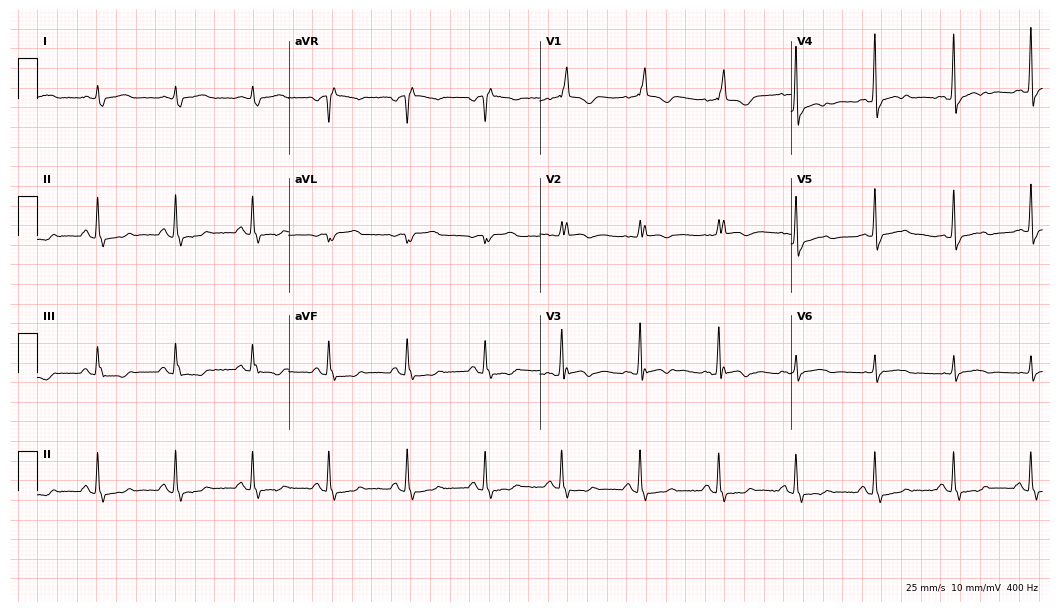
ECG (10.2-second recording at 400 Hz) — a 76-year-old man. Findings include right bundle branch block (RBBB).